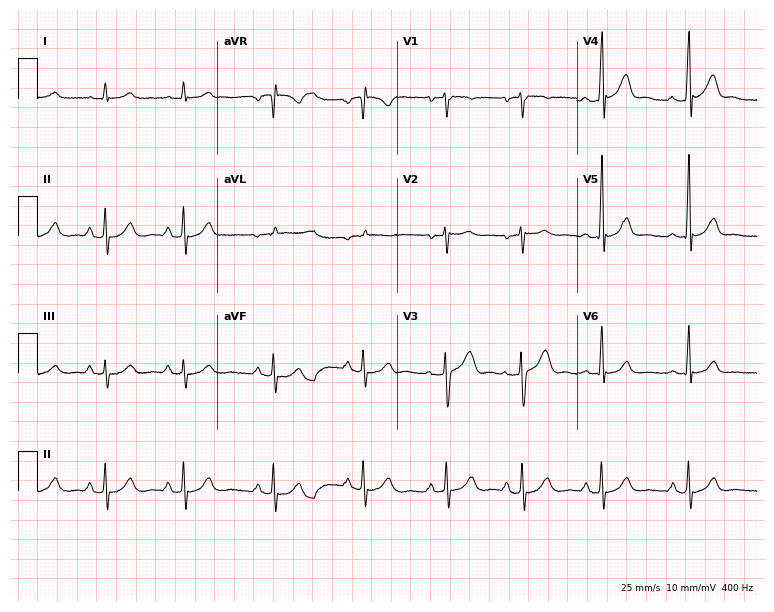
ECG — a 38-year-old man. Labelled as a normal ECG.